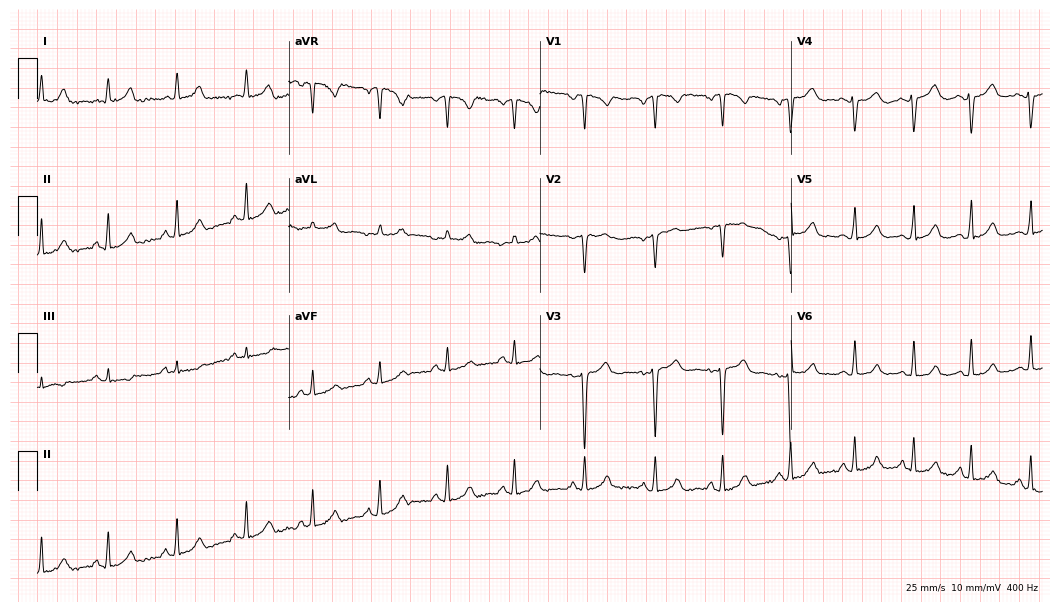
12-lead ECG from a female patient, 23 years old (10.2-second recording at 400 Hz). No first-degree AV block, right bundle branch block (RBBB), left bundle branch block (LBBB), sinus bradycardia, atrial fibrillation (AF) or sinus tachycardia recorded for this tracing.